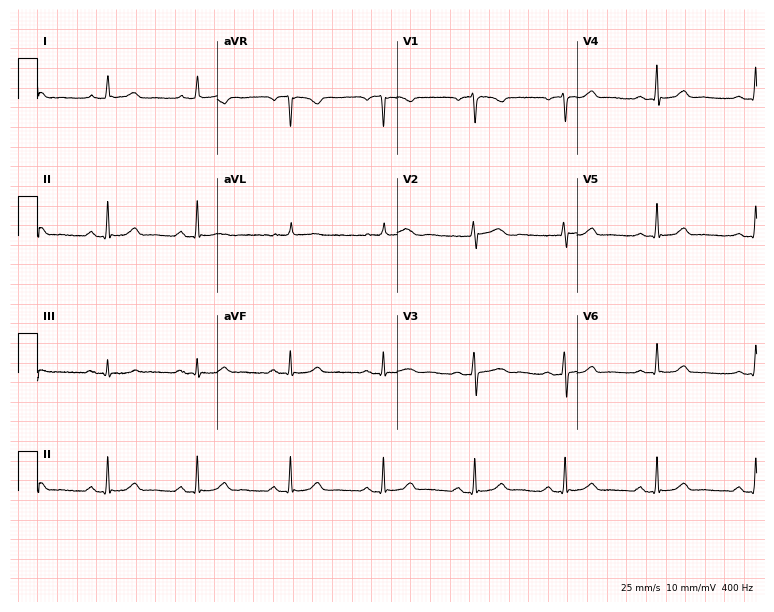
Electrocardiogram, a female, 52 years old. Overall reading on record: normal ECG.